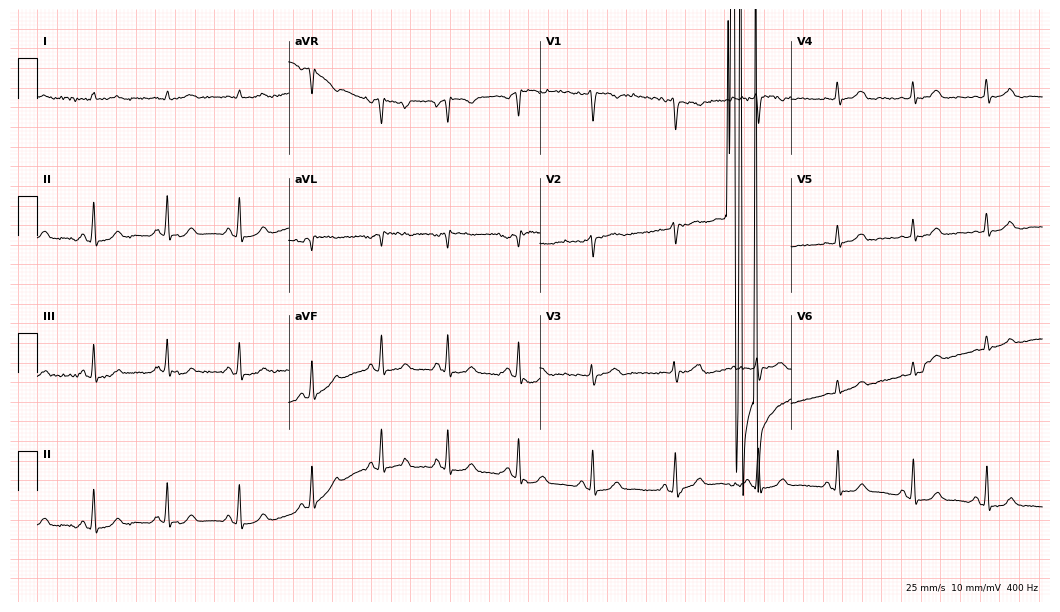
Electrocardiogram, a female, 29 years old. Of the six screened findings (first-degree AV block, right bundle branch block, left bundle branch block, sinus bradycardia, atrial fibrillation, sinus tachycardia), none is recorded. Other findings, if any, are not listed.